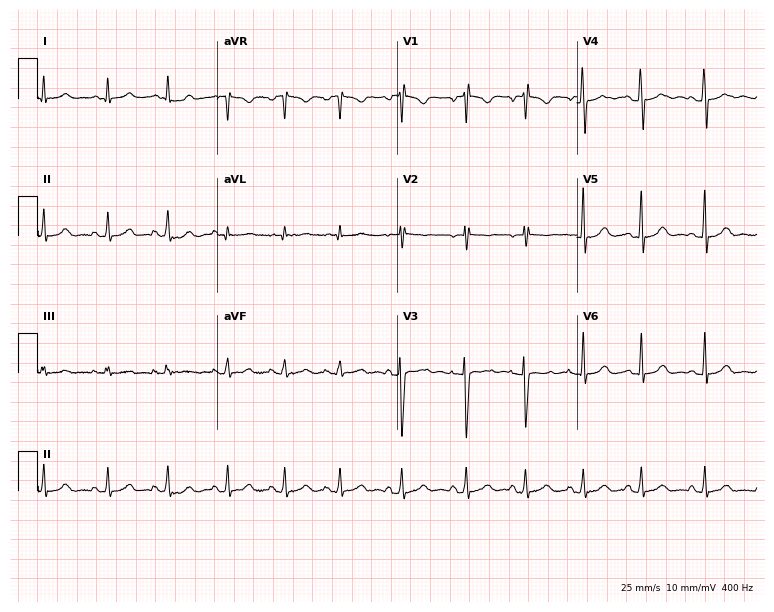
12-lead ECG from a female, 18 years old. Recorded interpretation: within normal limits.